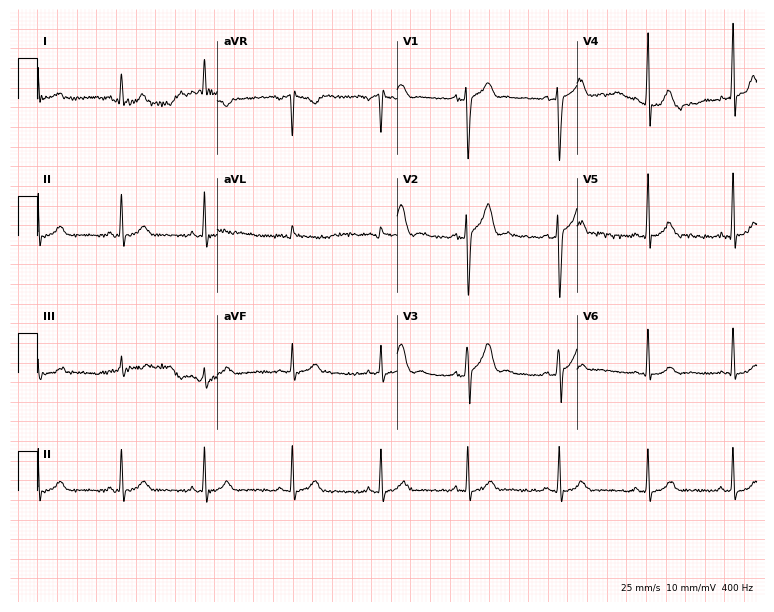
ECG (7.3-second recording at 400 Hz) — a 26-year-old male patient. Labelled as a normal ECG.